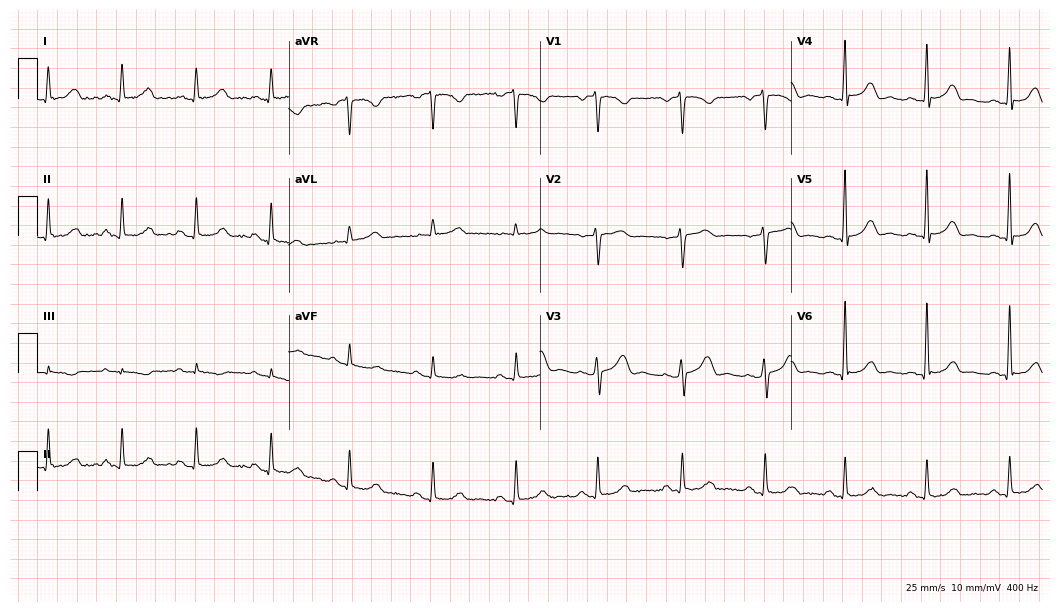
Standard 12-lead ECG recorded from a woman, 49 years old. Read as a normal ECG.